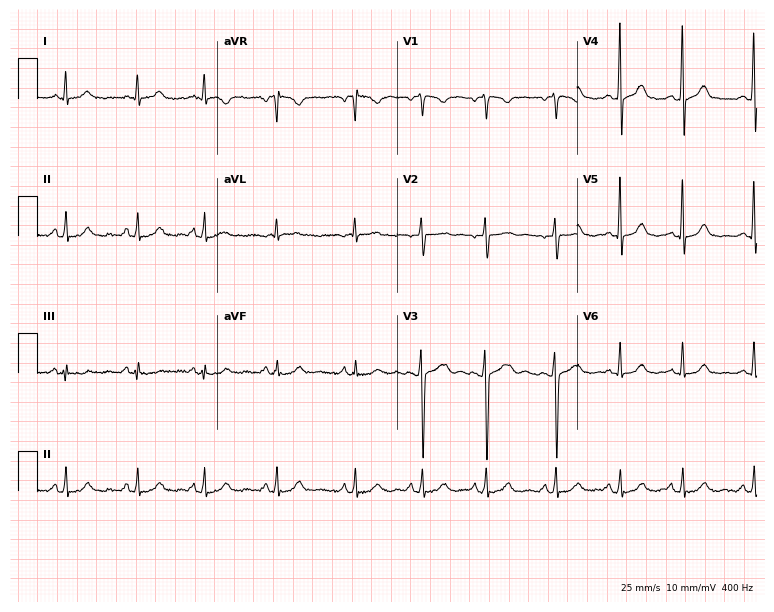
Standard 12-lead ECG recorded from a 26-year-old female (7.3-second recording at 400 Hz). Read as a normal ECG.